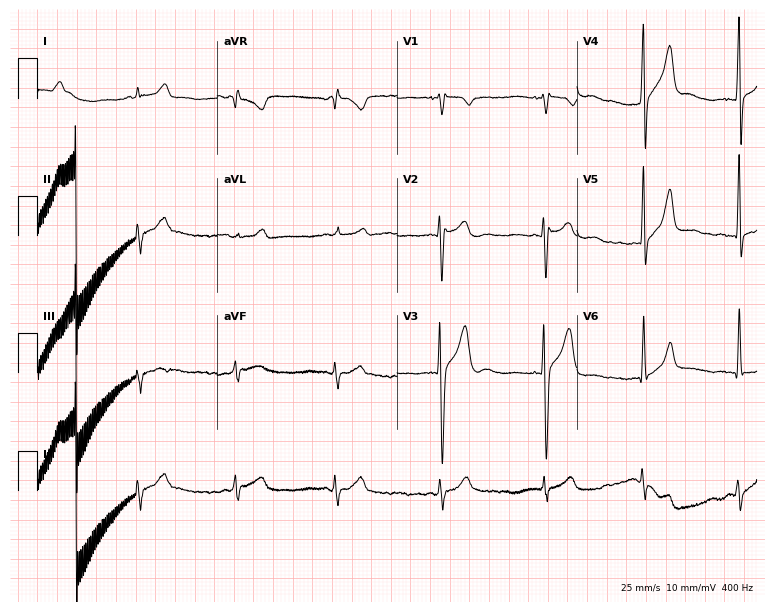
12-lead ECG from an 18-year-old man (7.3-second recording at 400 Hz). No first-degree AV block, right bundle branch block (RBBB), left bundle branch block (LBBB), sinus bradycardia, atrial fibrillation (AF) or sinus tachycardia recorded for this tracing. Other findings, if any, are not listed.